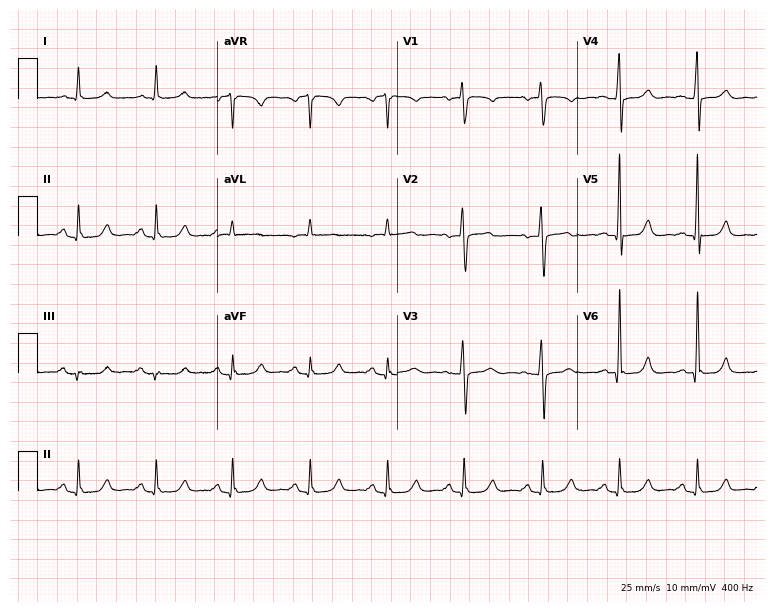
Resting 12-lead electrocardiogram (7.3-second recording at 400 Hz). Patient: a 52-year-old female. None of these six findings is recorded: first-degree AV block, right bundle branch block, left bundle branch block, sinus bradycardia, atrial fibrillation, sinus tachycardia.